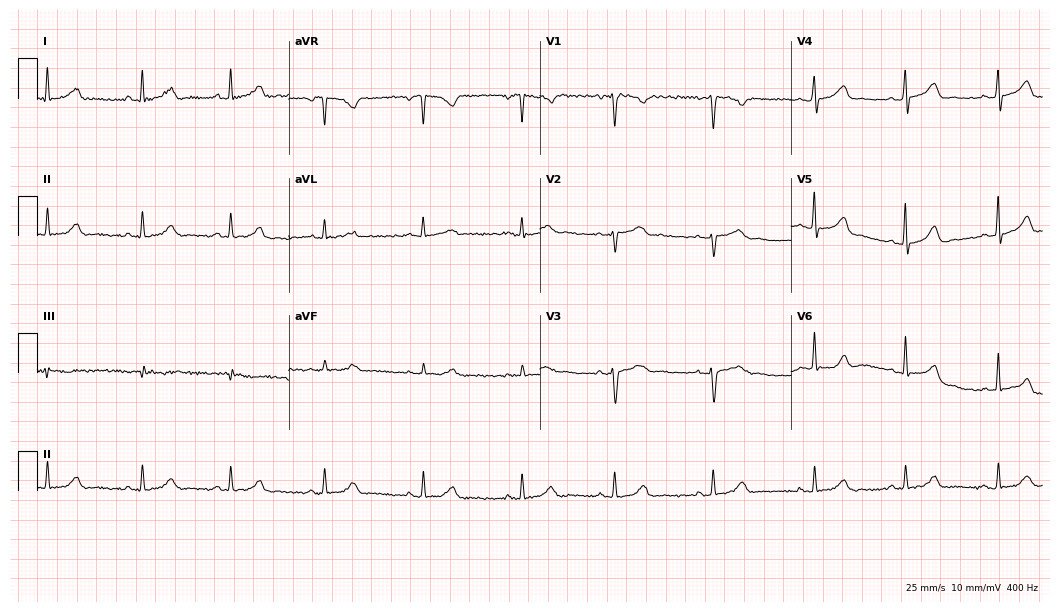
Resting 12-lead electrocardiogram (10.2-second recording at 400 Hz). Patient: a female, 30 years old. Read as a normal ECG.